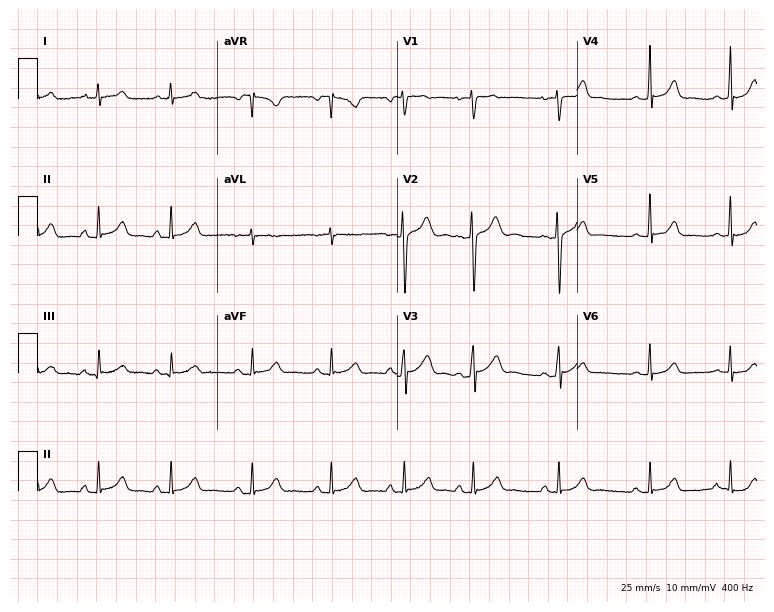
Standard 12-lead ECG recorded from a 21-year-old female. Read as a normal ECG.